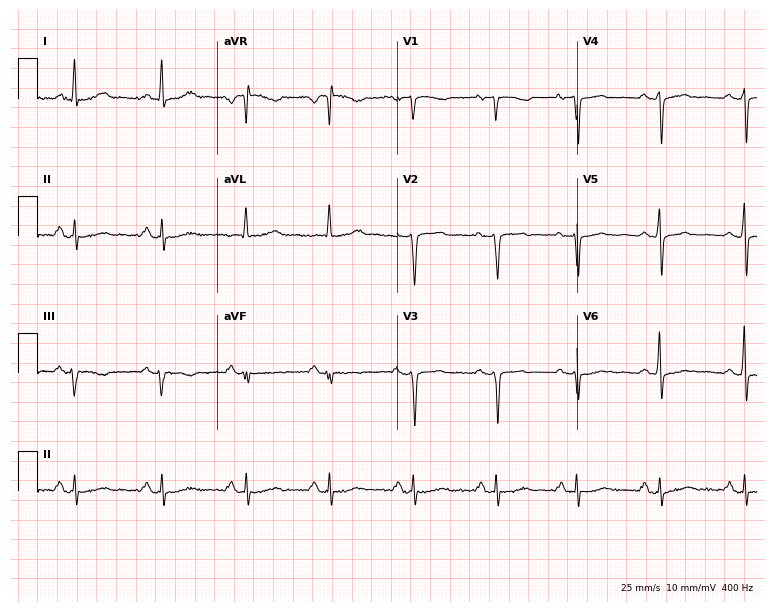
ECG (7.3-second recording at 400 Hz) — a woman, 63 years old. Labelled as a normal ECG.